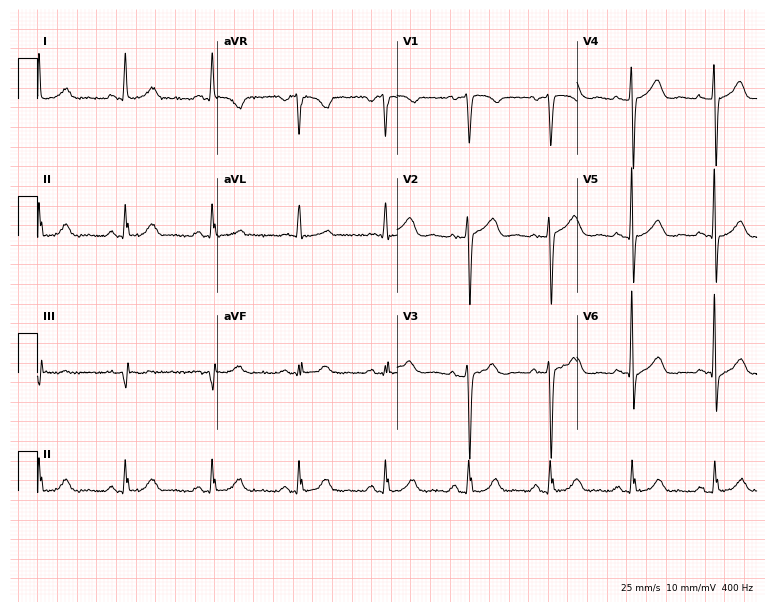
Electrocardiogram, a female patient, 58 years old. Overall reading on record: normal ECG.